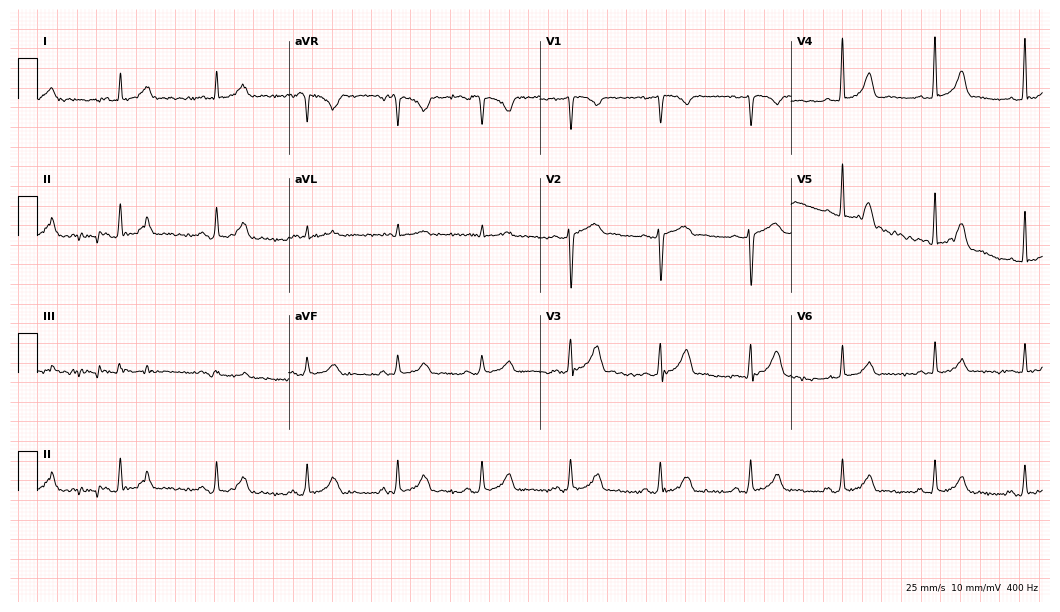
Electrocardiogram, a 44-year-old woman. Overall reading on record: normal ECG.